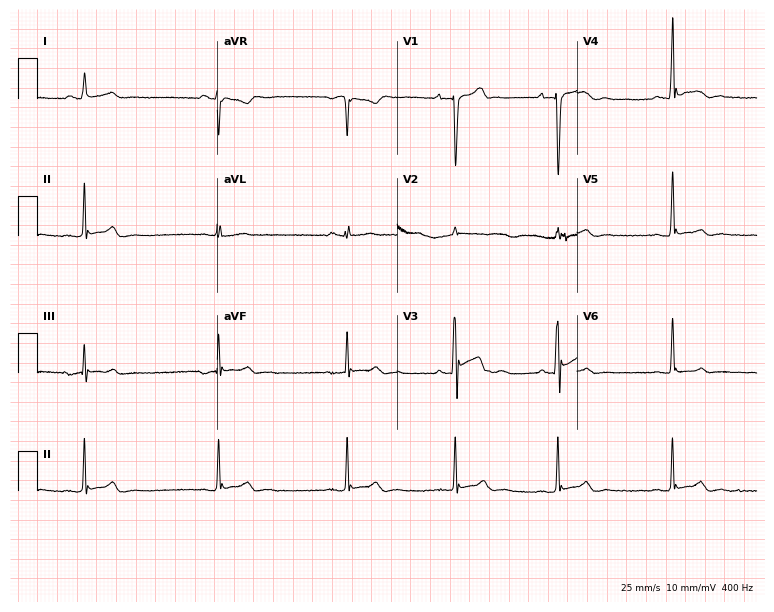
Standard 12-lead ECG recorded from a 19-year-old male (7.3-second recording at 400 Hz). The tracing shows atrial fibrillation (AF).